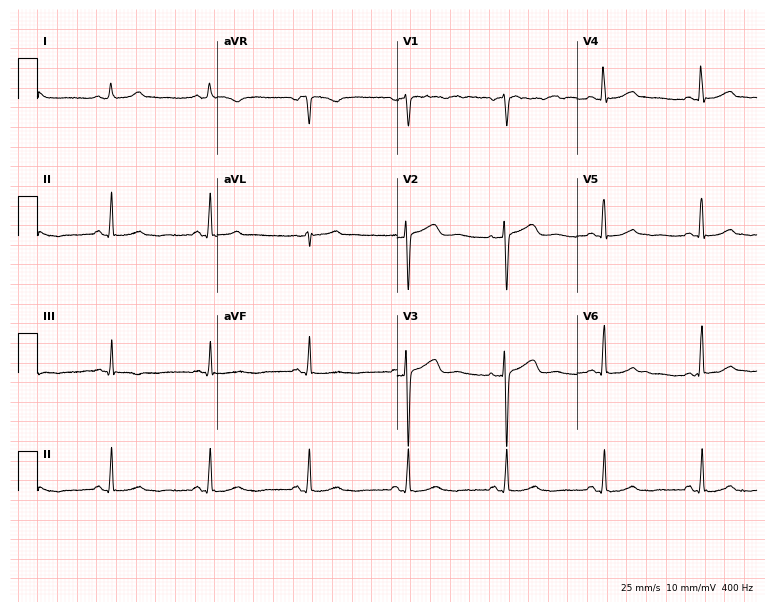
Standard 12-lead ECG recorded from a 33-year-old woman. None of these six findings is recorded: first-degree AV block, right bundle branch block, left bundle branch block, sinus bradycardia, atrial fibrillation, sinus tachycardia. Findings outside these six are not listed.